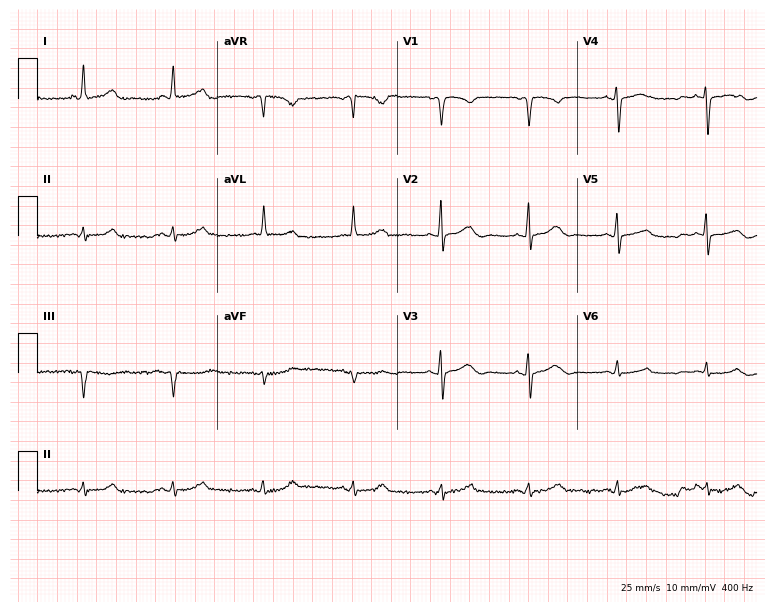
Standard 12-lead ECG recorded from a female, 75 years old. Read as a normal ECG.